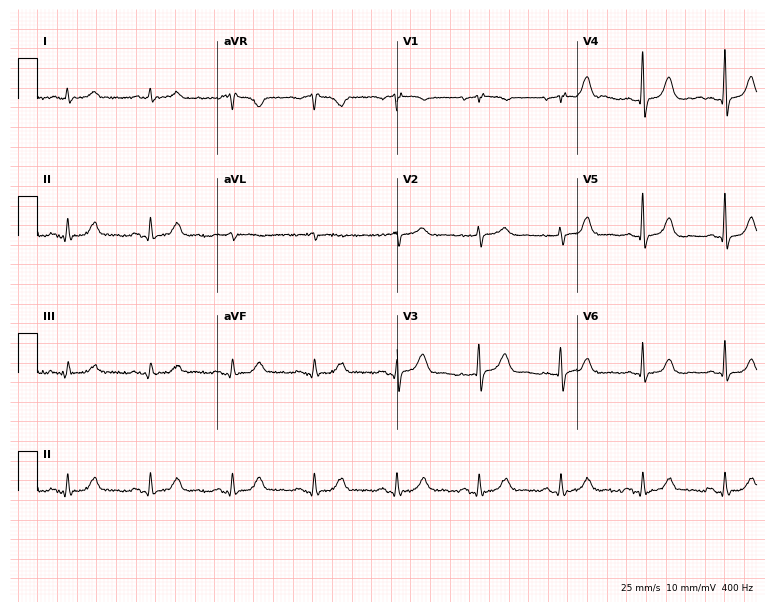
Electrocardiogram, a 77-year-old male. Overall reading on record: normal ECG.